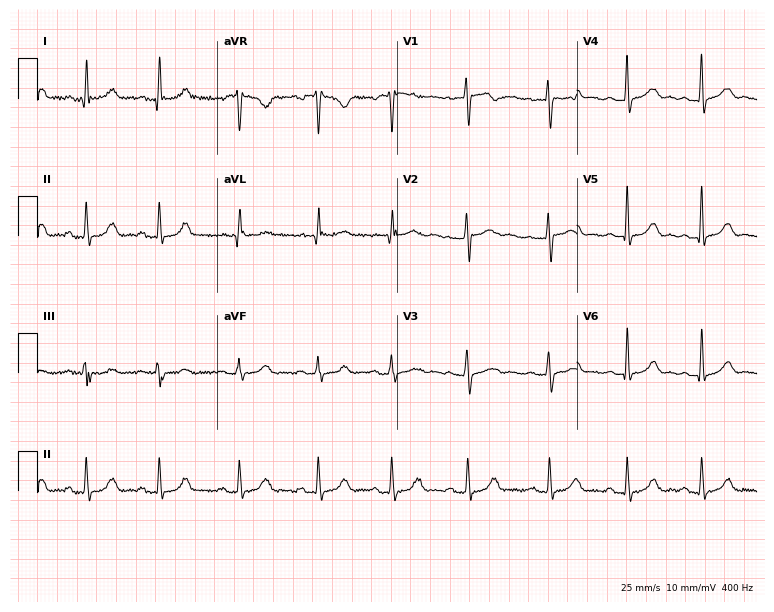
Resting 12-lead electrocardiogram (7.3-second recording at 400 Hz). Patient: a female, 33 years old. Read as a normal ECG.